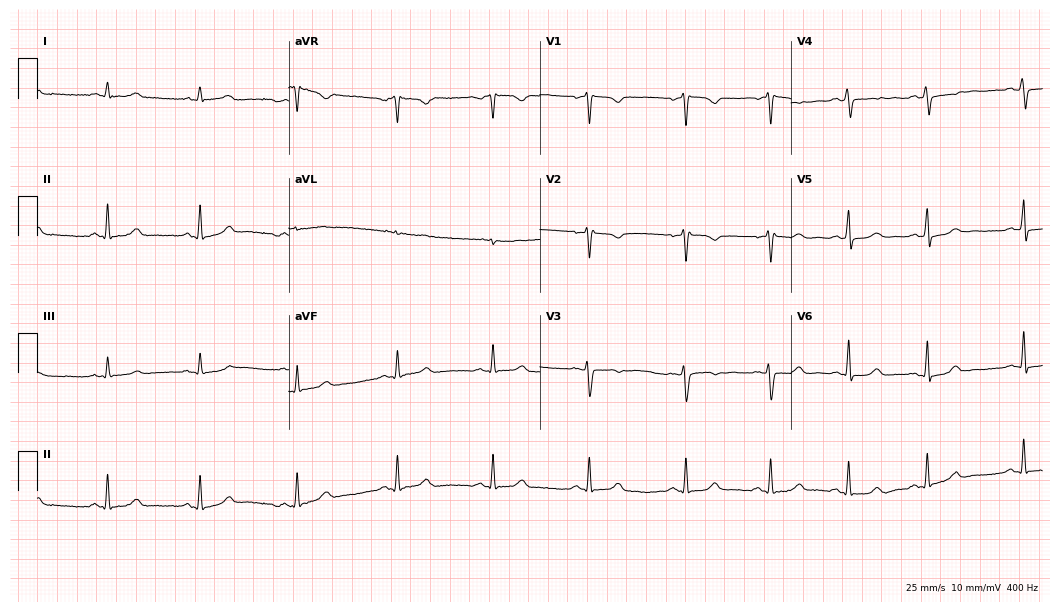
Standard 12-lead ECG recorded from a female, 44 years old. Read as a normal ECG.